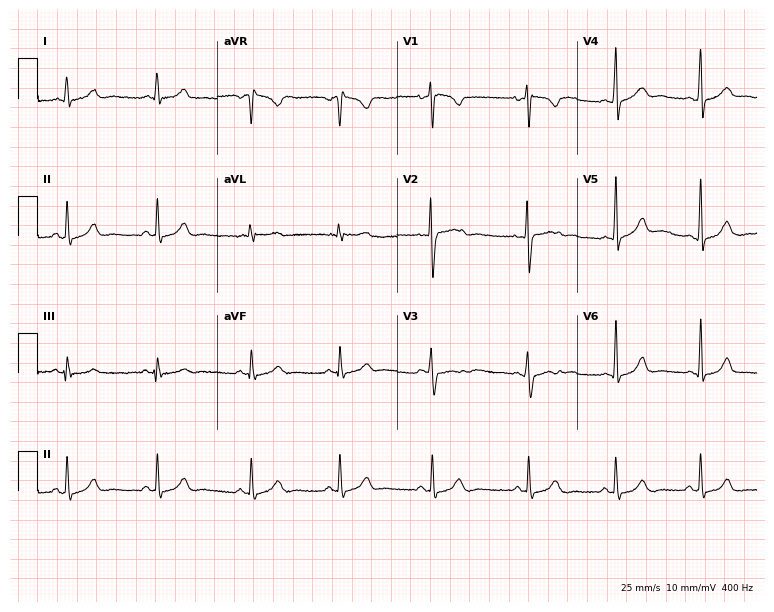
12-lead ECG from a female patient, 21 years old (7.3-second recording at 400 Hz). Recorded interpretation: within normal limits.